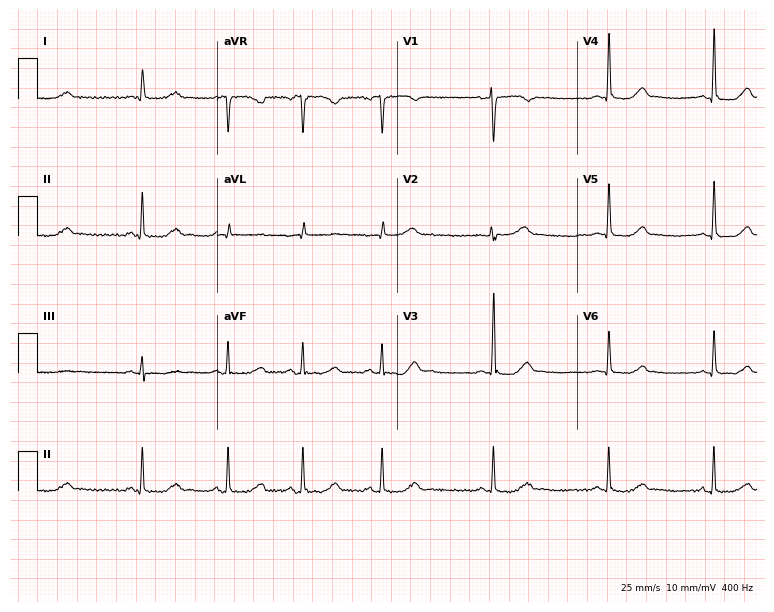
Resting 12-lead electrocardiogram (7.3-second recording at 400 Hz). Patient: a female, 65 years old. Read as a normal ECG.